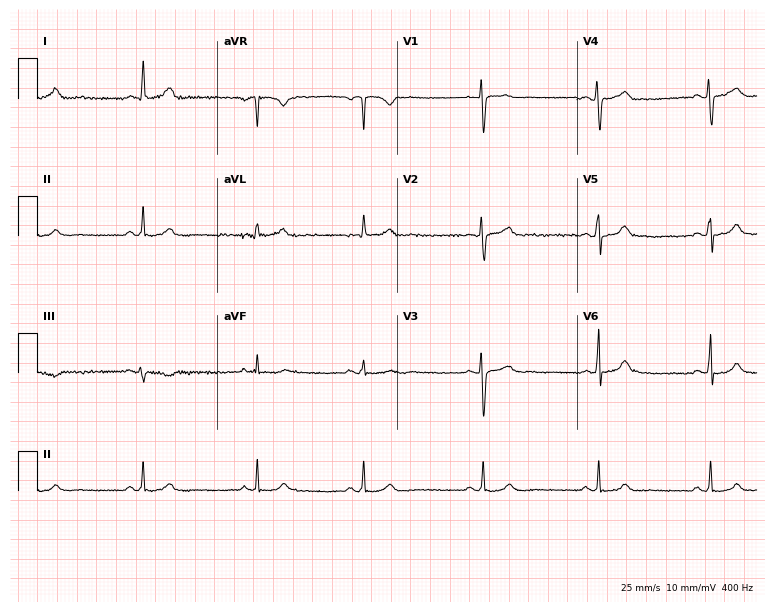
Electrocardiogram, a 41-year-old female. Overall reading on record: normal ECG.